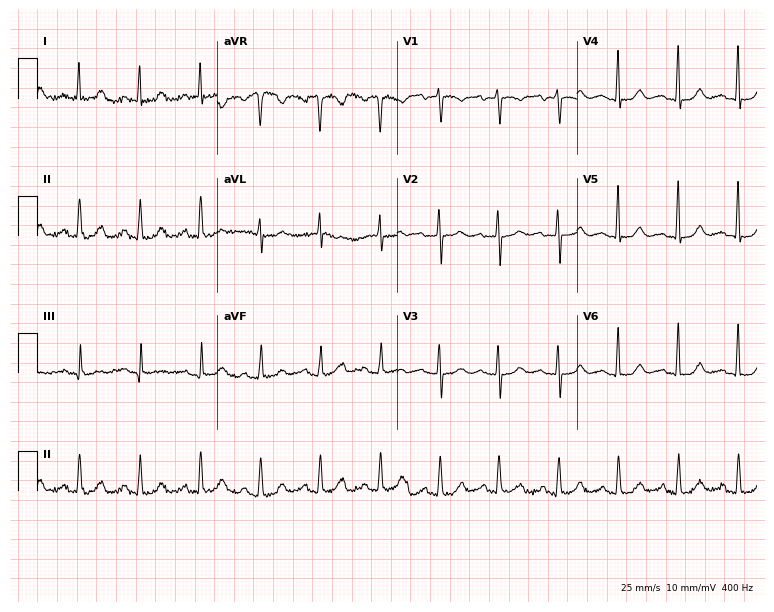
12-lead ECG from a female patient, 63 years old. Labelled as a normal ECG.